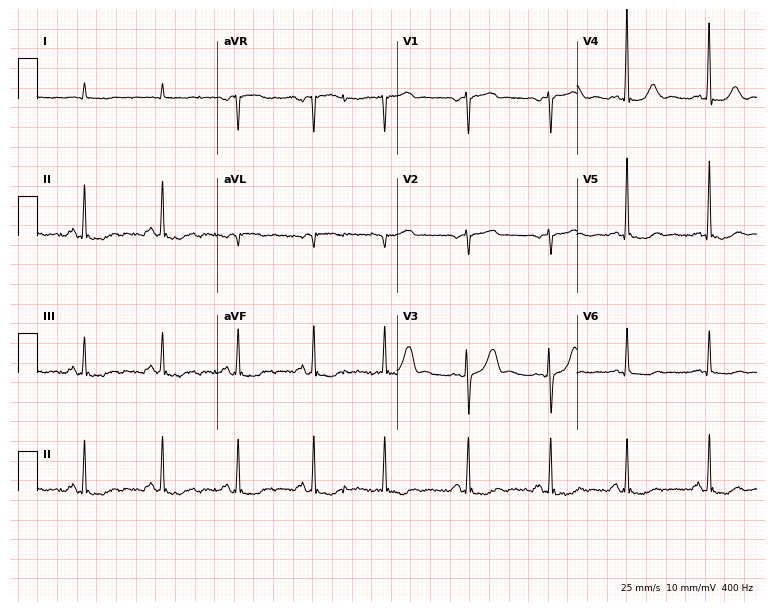
ECG (7.3-second recording at 400 Hz) — an 87-year-old man. Screened for six findings — first-degree AV block, right bundle branch block (RBBB), left bundle branch block (LBBB), sinus bradycardia, atrial fibrillation (AF), sinus tachycardia — none is recorded.